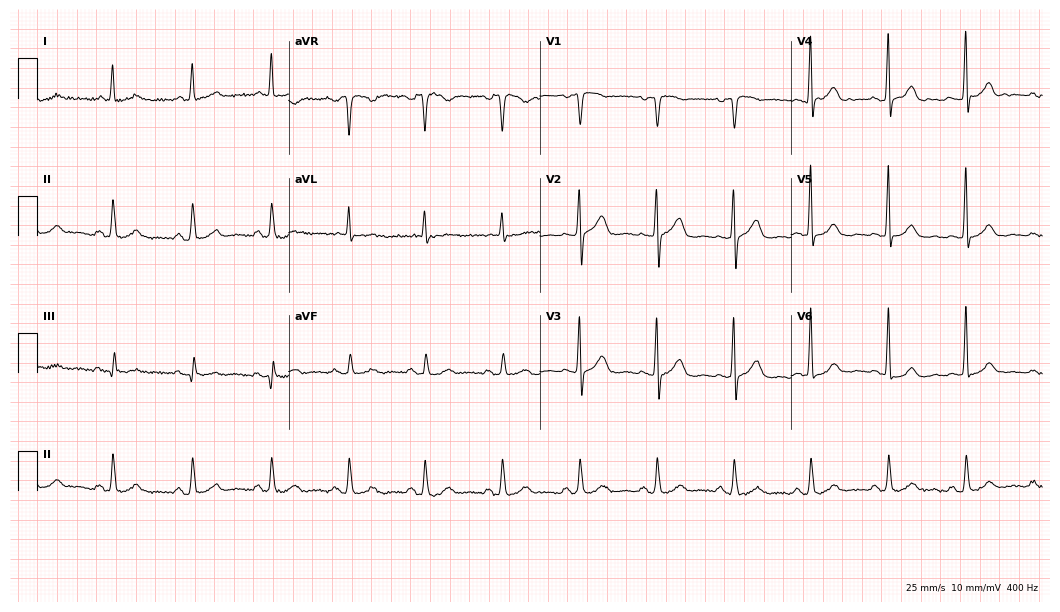
12-lead ECG from a 71-year-old female patient. Recorded interpretation: within normal limits.